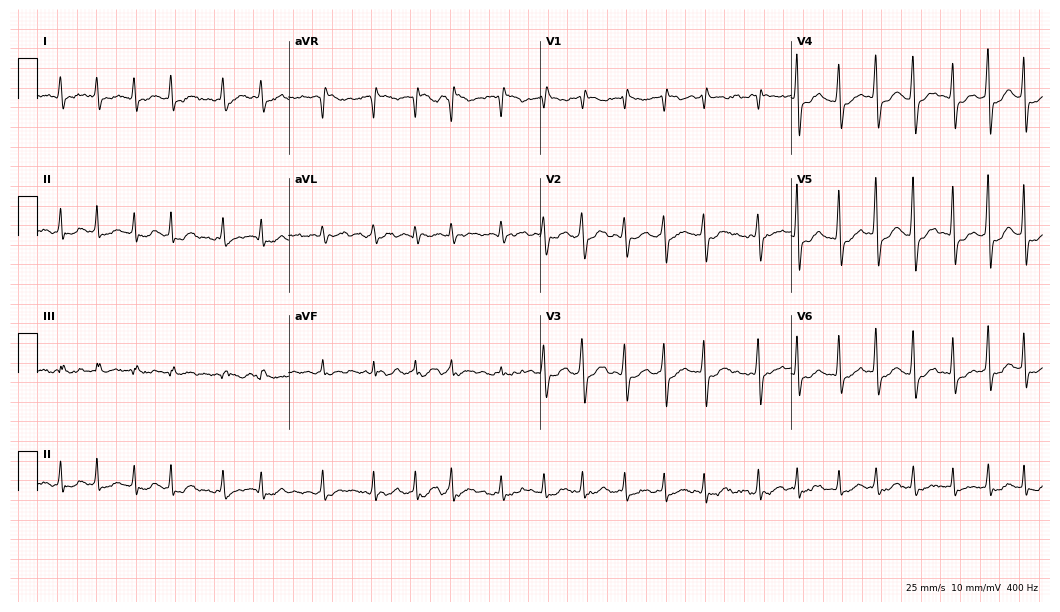
Electrocardiogram (10.2-second recording at 400 Hz), a male, 69 years old. Of the six screened findings (first-degree AV block, right bundle branch block, left bundle branch block, sinus bradycardia, atrial fibrillation, sinus tachycardia), none is recorded. Only these six findings were labelled.